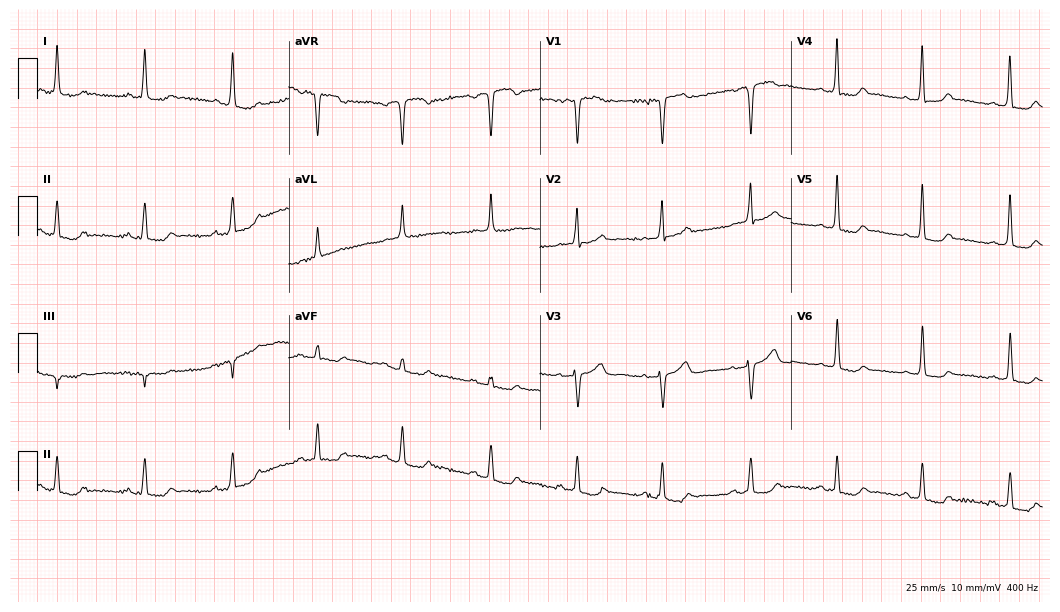
12-lead ECG from a female, 54 years old. No first-degree AV block, right bundle branch block, left bundle branch block, sinus bradycardia, atrial fibrillation or sinus tachycardia recorded for this tracing. Other findings, if any, are not listed.